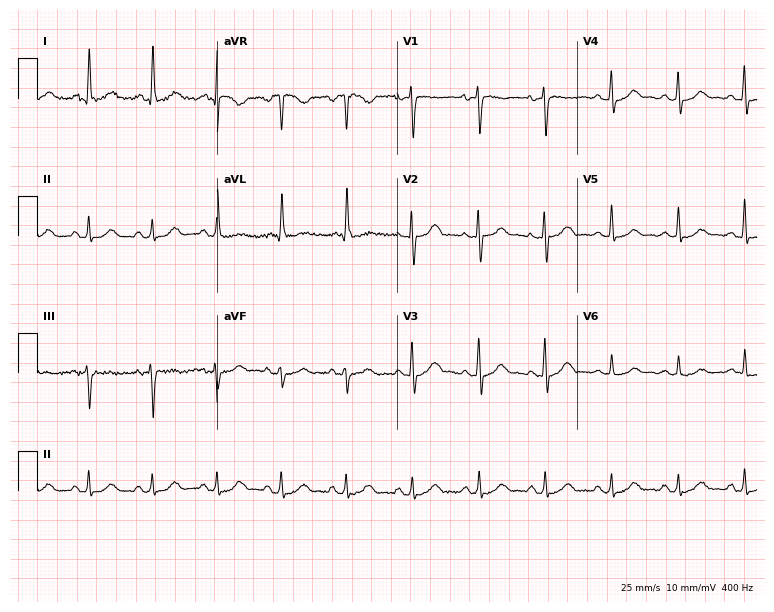
12-lead ECG (7.3-second recording at 400 Hz) from a woman, 72 years old. Labelled as a normal ECG.